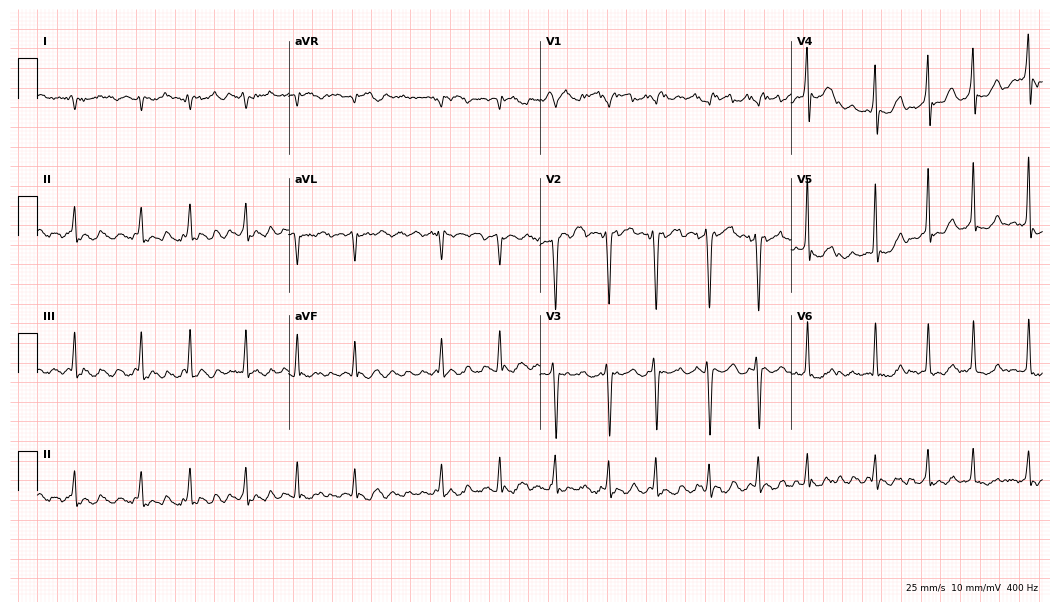
12-lead ECG (10.2-second recording at 400 Hz) from a female patient, 49 years old. Findings include atrial fibrillation.